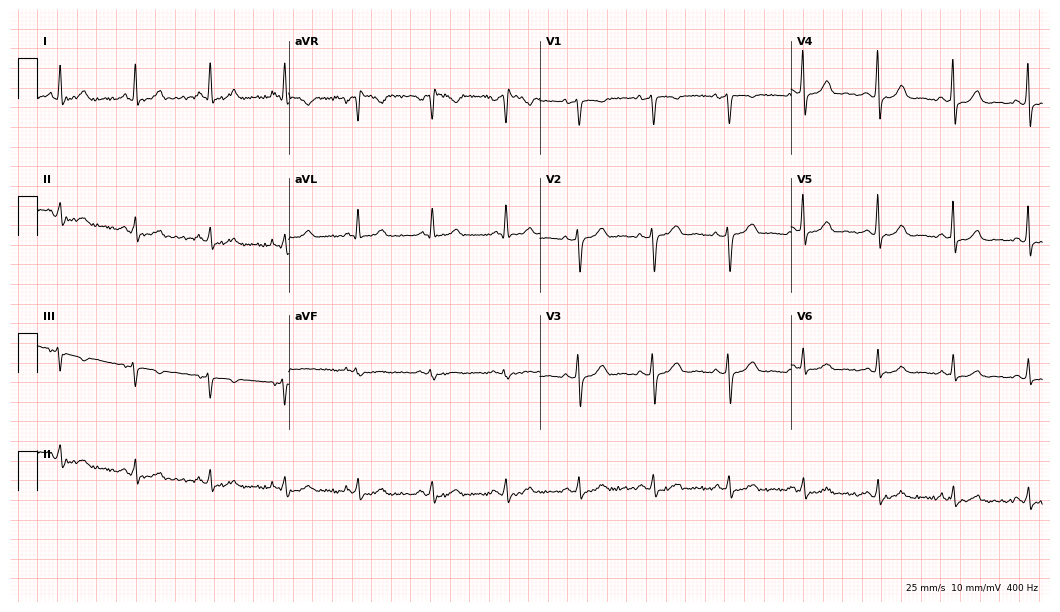
Standard 12-lead ECG recorded from a female patient, 57 years old (10.2-second recording at 400 Hz). Read as a normal ECG.